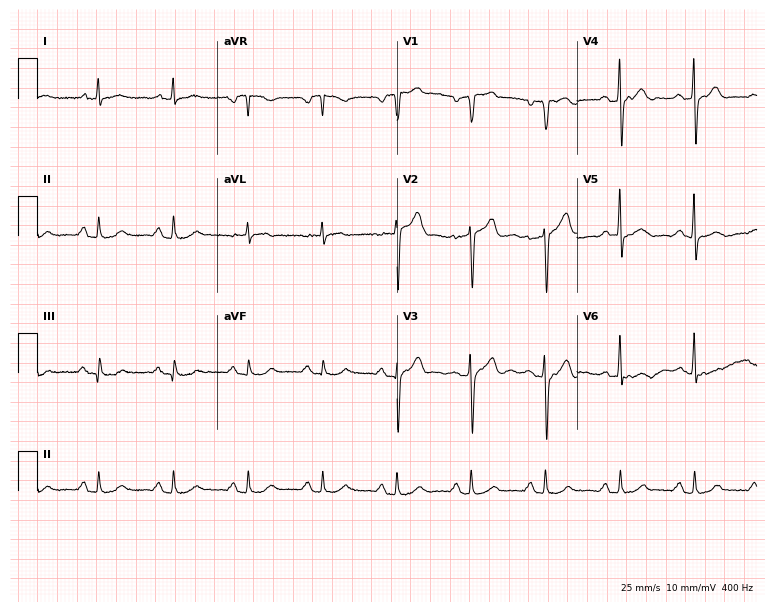
Standard 12-lead ECG recorded from a male, 78 years old (7.3-second recording at 400 Hz). None of these six findings is recorded: first-degree AV block, right bundle branch block, left bundle branch block, sinus bradycardia, atrial fibrillation, sinus tachycardia.